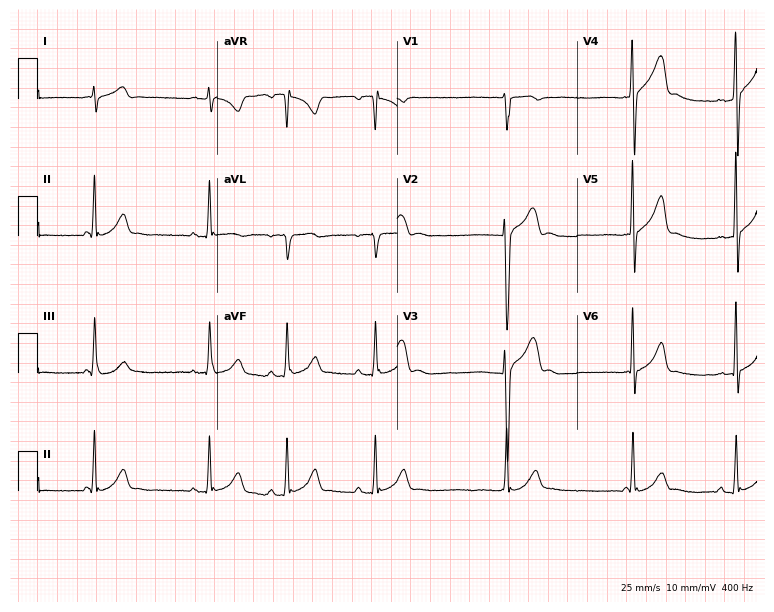
ECG — a 17-year-old male patient. Screened for six findings — first-degree AV block, right bundle branch block (RBBB), left bundle branch block (LBBB), sinus bradycardia, atrial fibrillation (AF), sinus tachycardia — none is recorded.